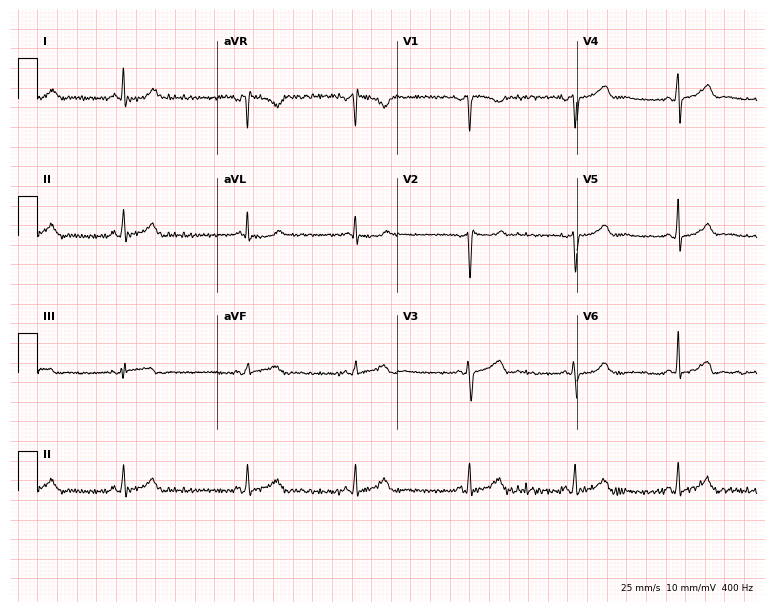
Resting 12-lead electrocardiogram (7.3-second recording at 400 Hz). Patient: a 21-year-old female. Read as a normal ECG.